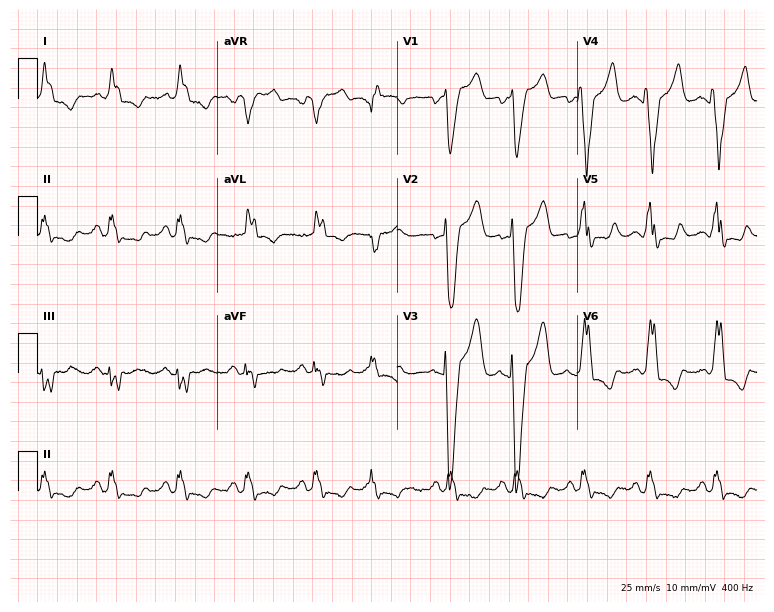
Electrocardiogram (7.3-second recording at 400 Hz), a 54-year-old male. Of the six screened findings (first-degree AV block, right bundle branch block (RBBB), left bundle branch block (LBBB), sinus bradycardia, atrial fibrillation (AF), sinus tachycardia), none is recorded.